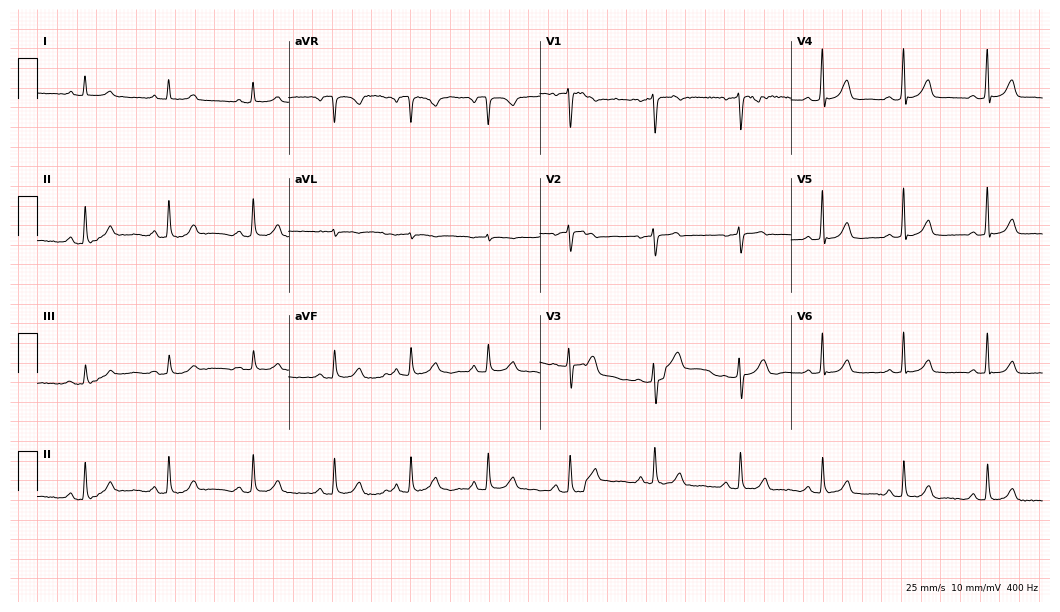
Standard 12-lead ECG recorded from a woman, 33 years old. None of these six findings is recorded: first-degree AV block, right bundle branch block, left bundle branch block, sinus bradycardia, atrial fibrillation, sinus tachycardia.